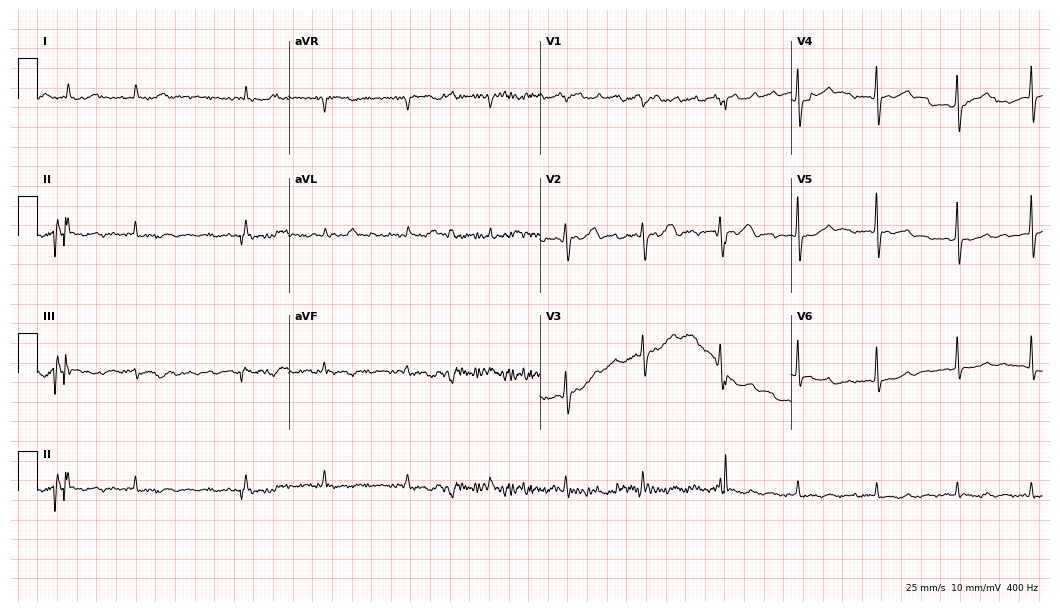
12-lead ECG from a woman, 84 years old (10.2-second recording at 400 Hz). Shows atrial fibrillation (AF).